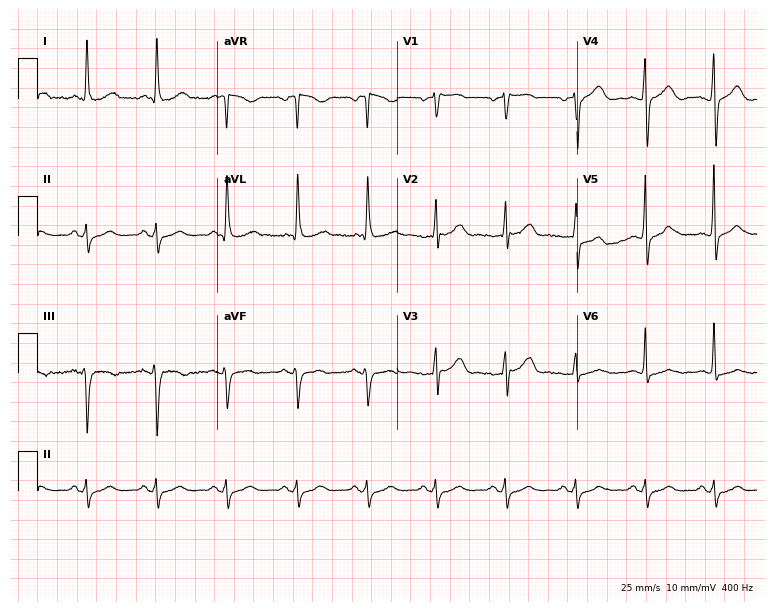
ECG (7.3-second recording at 400 Hz) — a woman, 65 years old. Screened for six findings — first-degree AV block, right bundle branch block (RBBB), left bundle branch block (LBBB), sinus bradycardia, atrial fibrillation (AF), sinus tachycardia — none is recorded.